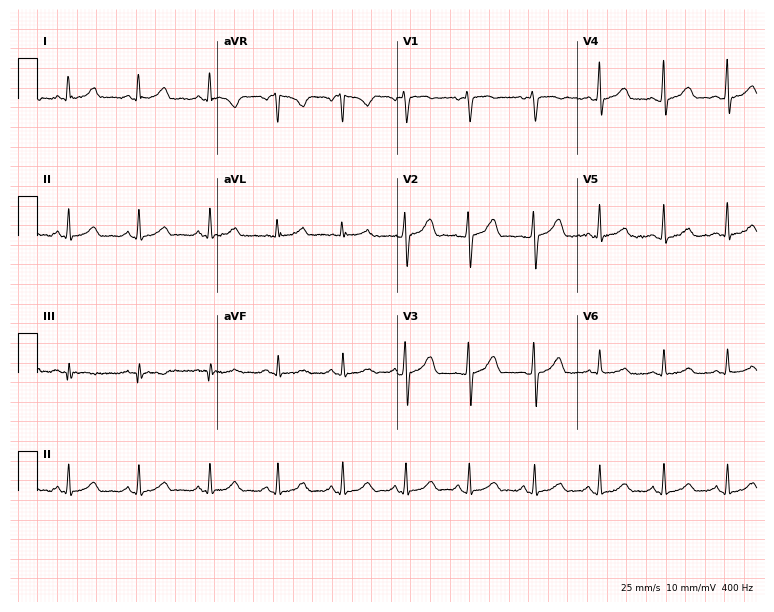
ECG — a woman, 36 years old. Labelled as a normal ECG.